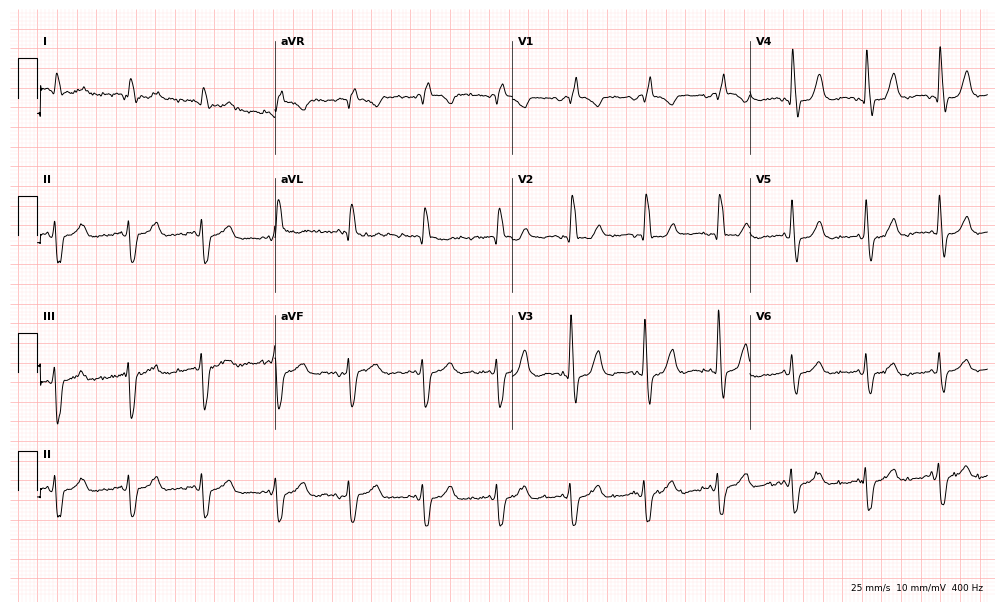
12-lead ECG from a woman, 83 years old. Screened for six findings — first-degree AV block, right bundle branch block, left bundle branch block, sinus bradycardia, atrial fibrillation, sinus tachycardia — none is recorded. Only these six findings were labelled.